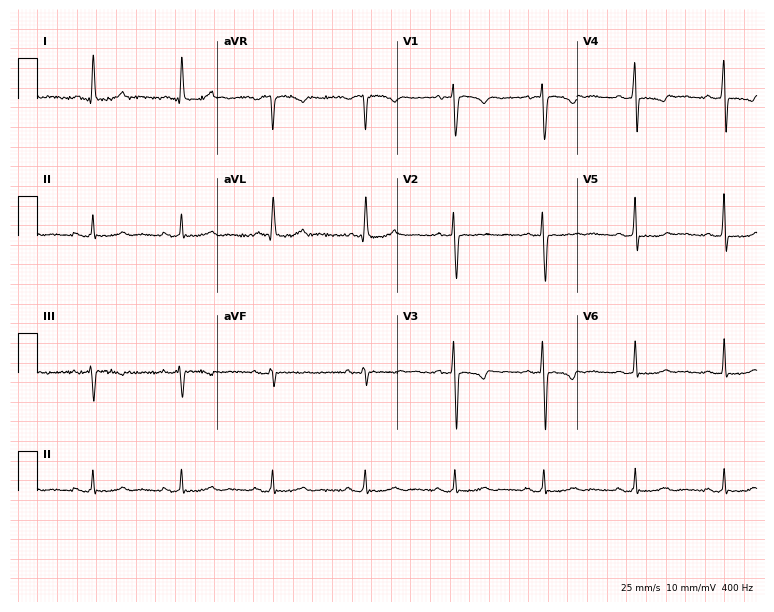
Resting 12-lead electrocardiogram. Patient: a female, 50 years old. None of these six findings is recorded: first-degree AV block, right bundle branch block, left bundle branch block, sinus bradycardia, atrial fibrillation, sinus tachycardia. Findings outside these six are not listed.